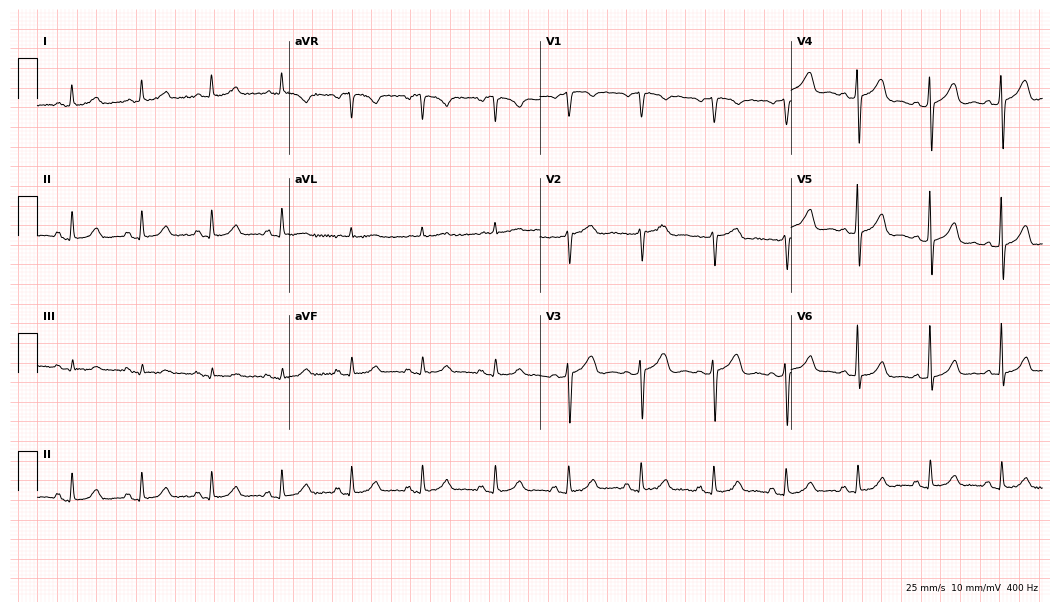
Resting 12-lead electrocardiogram. Patient: a female, 54 years old. Read as a normal ECG.